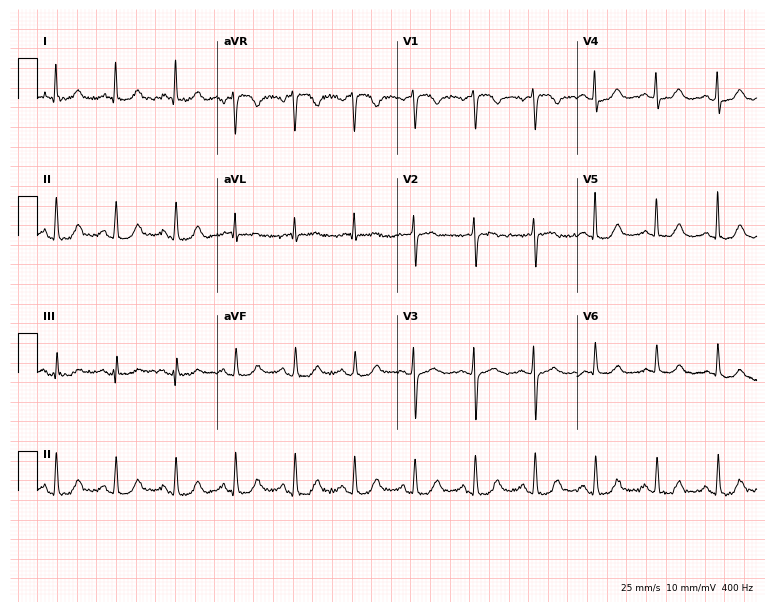
Electrocardiogram (7.3-second recording at 400 Hz), a female, 76 years old. Of the six screened findings (first-degree AV block, right bundle branch block, left bundle branch block, sinus bradycardia, atrial fibrillation, sinus tachycardia), none is recorded. Only these six findings were labelled.